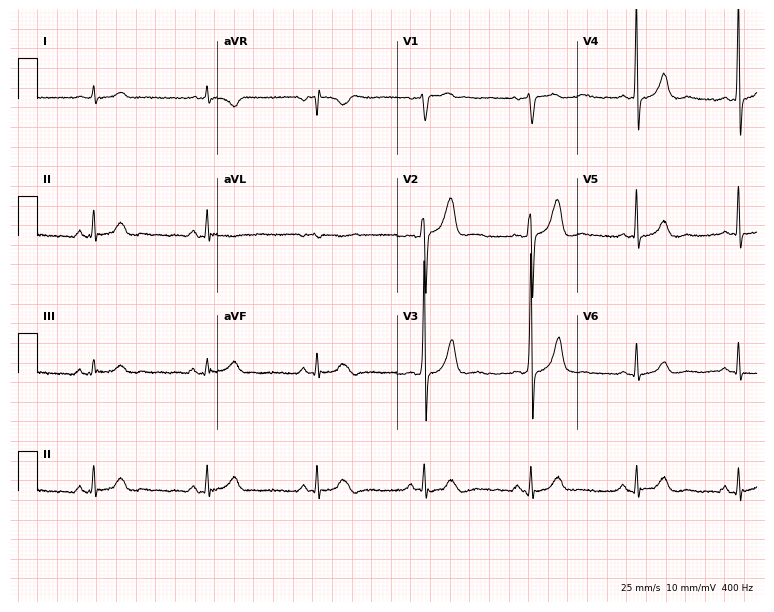
12-lead ECG from a male, 53 years old. Labelled as a normal ECG.